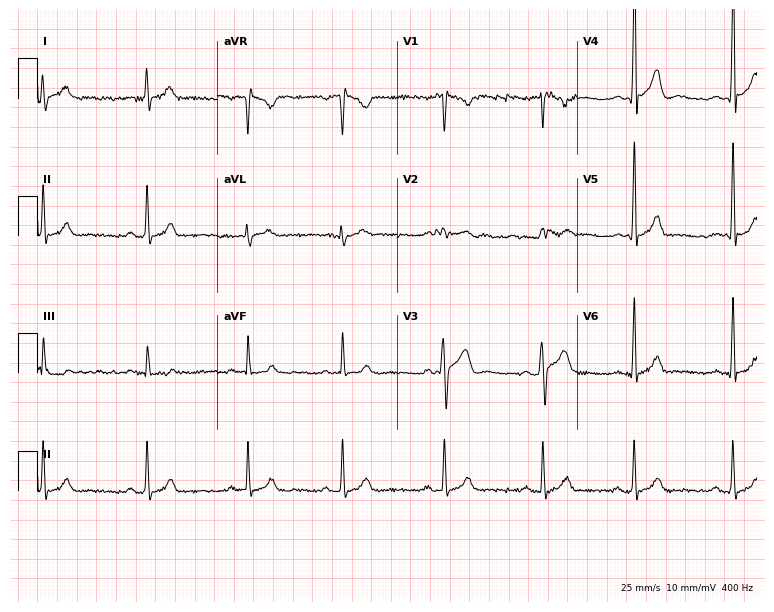
12-lead ECG from a male, 23 years old. Labelled as a normal ECG.